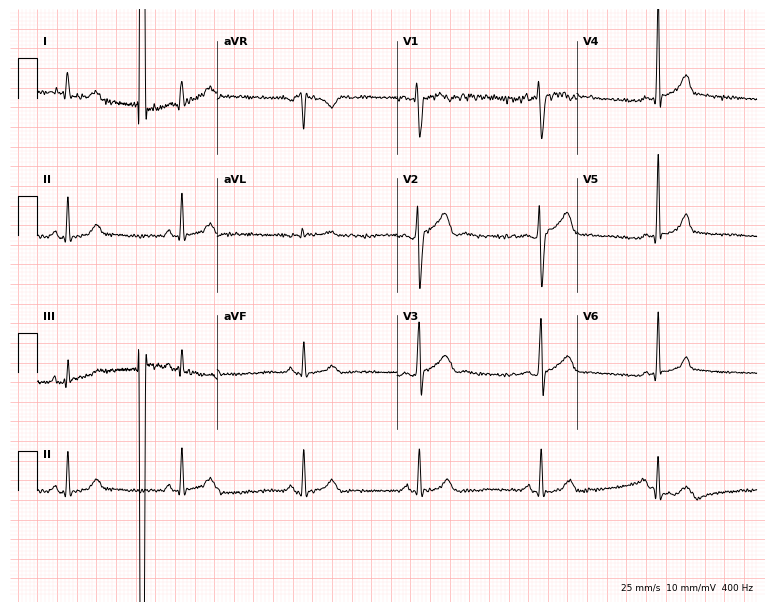
12-lead ECG from a male, 28 years old. Shows sinus bradycardia (a sinus rate of 50 beats per minute or less).